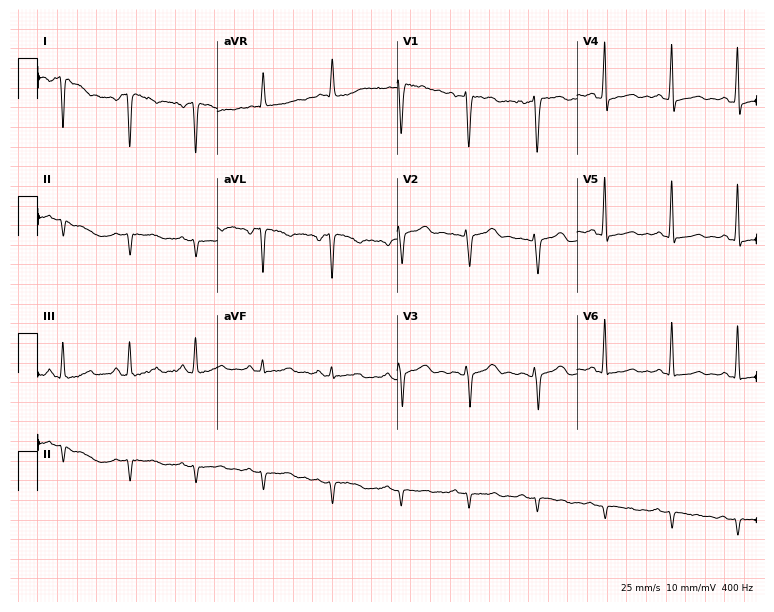
12-lead ECG (7.3-second recording at 400 Hz) from a 52-year-old woman. Screened for six findings — first-degree AV block, right bundle branch block, left bundle branch block, sinus bradycardia, atrial fibrillation, sinus tachycardia — none is recorded.